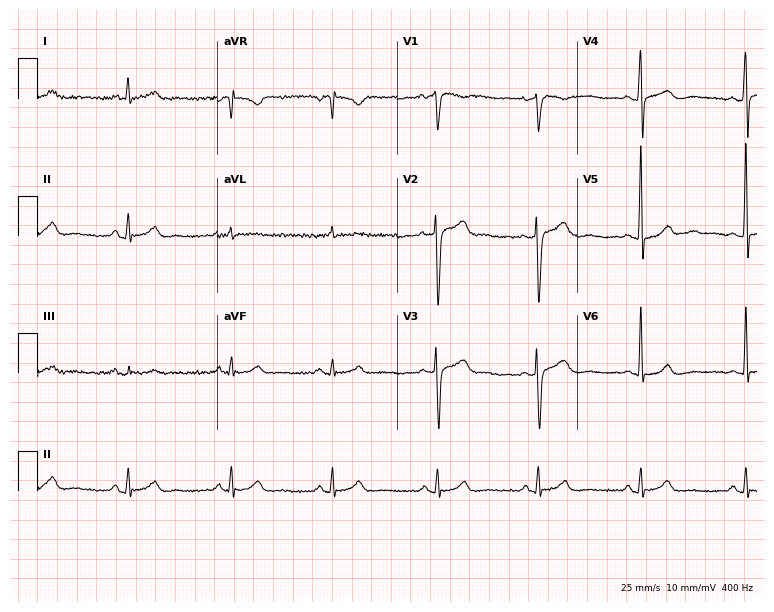
Standard 12-lead ECG recorded from a male, 47 years old. Read as a normal ECG.